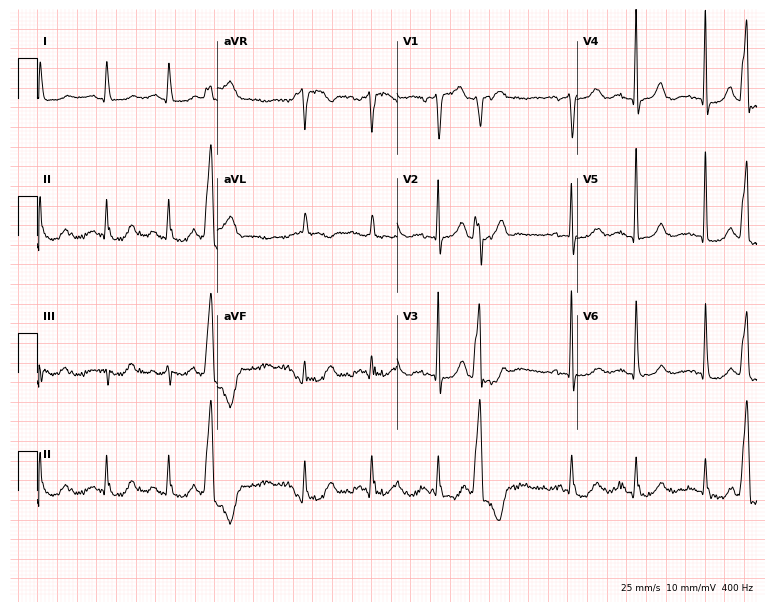
Standard 12-lead ECG recorded from a male patient, 82 years old. None of these six findings is recorded: first-degree AV block, right bundle branch block, left bundle branch block, sinus bradycardia, atrial fibrillation, sinus tachycardia.